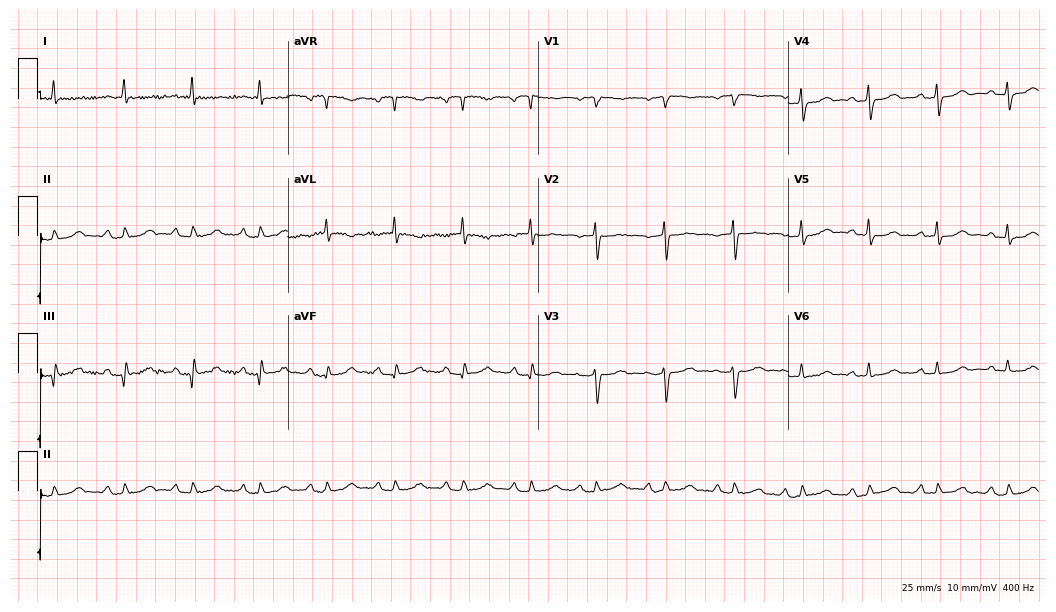
Standard 12-lead ECG recorded from a 69-year-old female (10.2-second recording at 400 Hz). Read as a normal ECG.